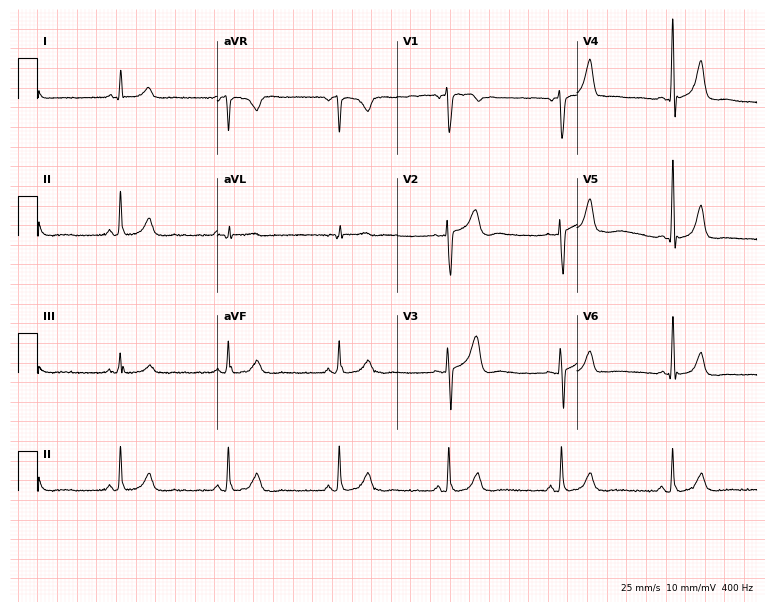
12-lead ECG from a man, 52 years old. Recorded interpretation: within normal limits.